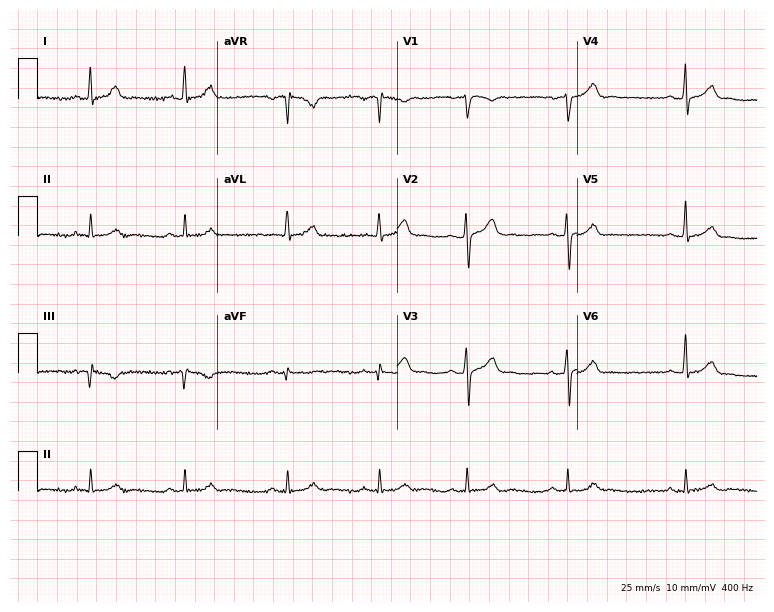
Standard 12-lead ECG recorded from a male patient, 38 years old (7.3-second recording at 400 Hz). Read as a normal ECG.